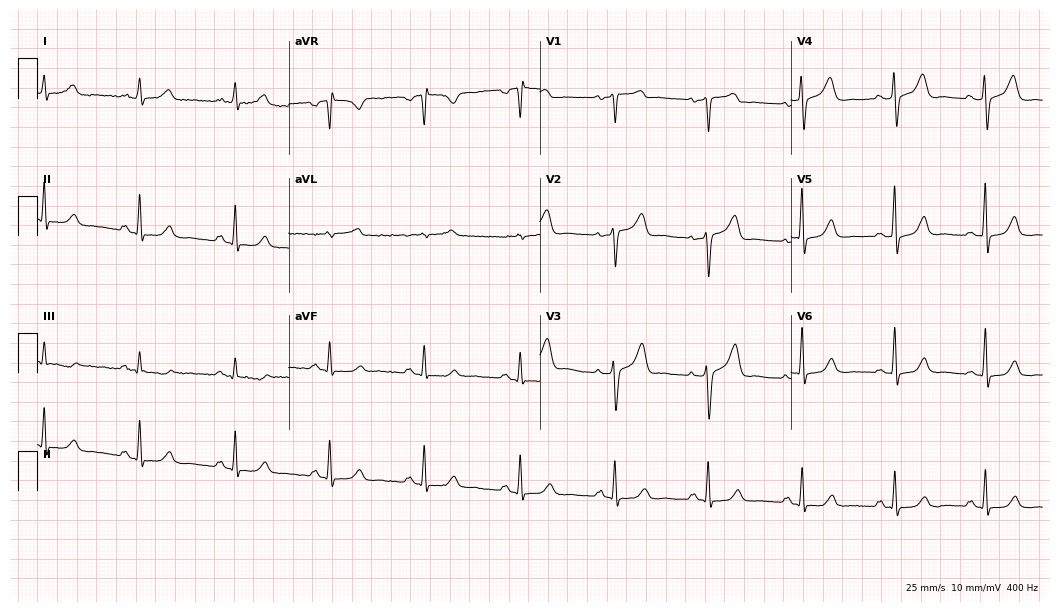
12-lead ECG from a 66-year-old female patient. Recorded interpretation: within normal limits.